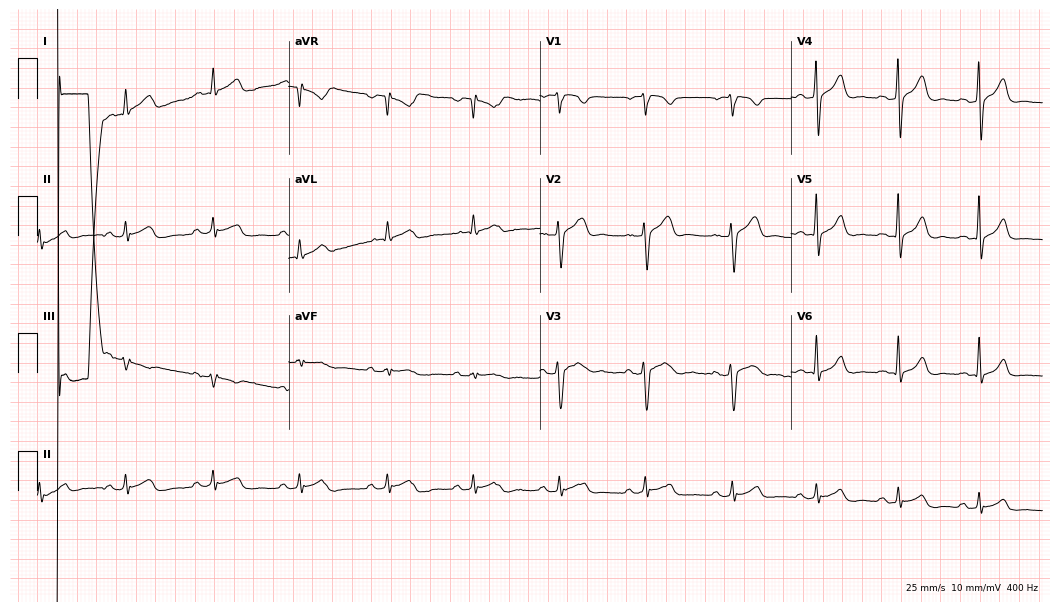
Electrocardiogram, a man, 33 years old. Overall reading on record: normal ECG.